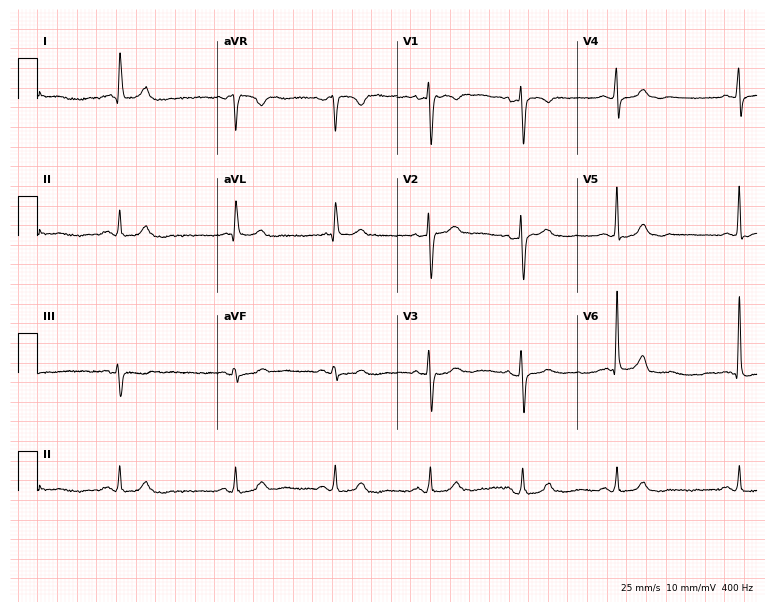
12-lead ECG (7.3-second recording at 400 Hz) from a 64-year-old female. Findings include sinus bradycardia (a sinus rate of 50 beats per minute or less).